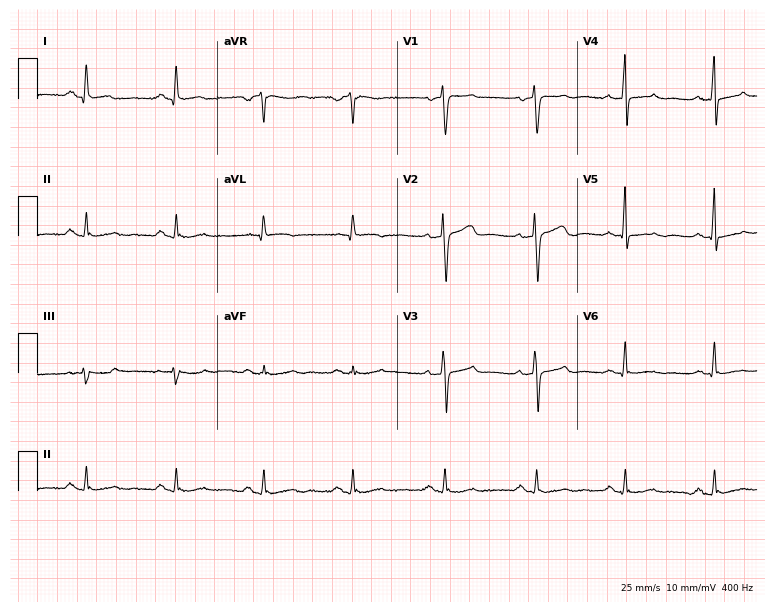
Resting 12-lead electrocardiogram (7.3-second recording at 400 Hz). Patient: a 59-year-old female. None of these six findings is recorded: first-degree AV block, right bundle branch block, left bundle branch block, sinus bradycardia, atrial fibrillation, sinus tachycardia. Other findings, if any, are not listed.